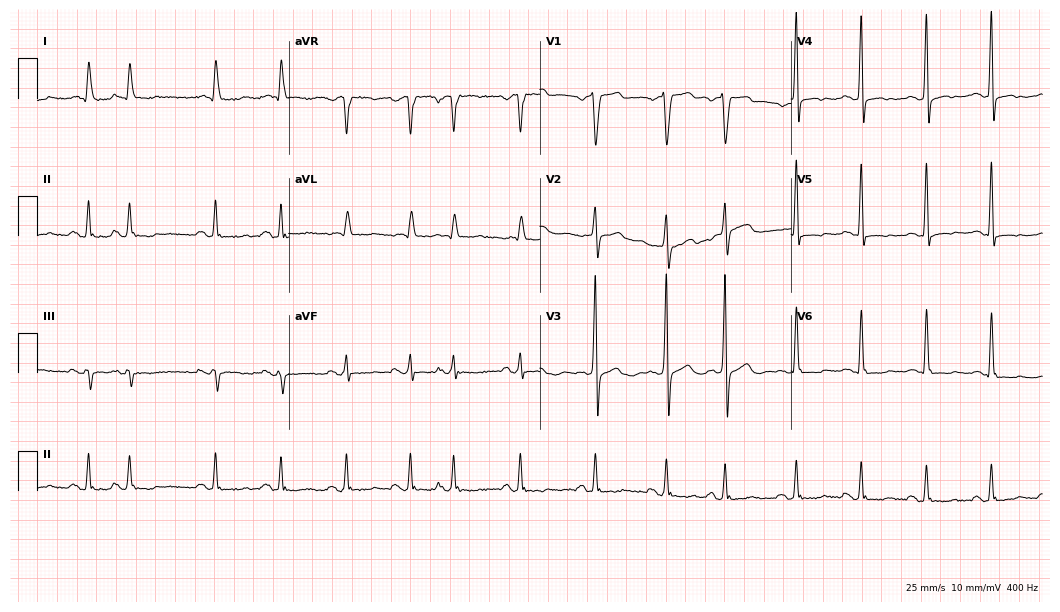
Resting 12-lead electrocardiogram (10.2-second recording at 400 Hz). Patient: a male, 80 years old. None of these six findings is recorded: first-degree AV block, right bundle branch block, left bundle branch block, sinus bradycardia, atrial fibrillation, sinus tachycardia. Other findings, if any, are not listed.